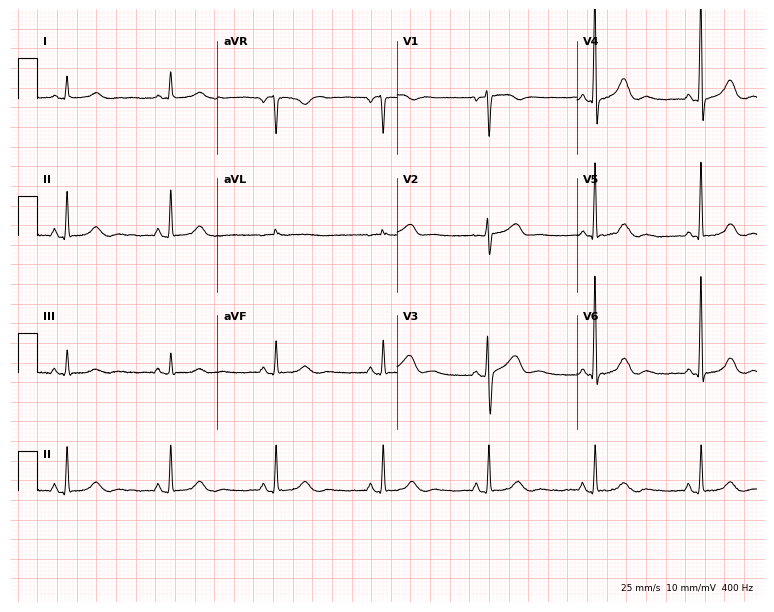
Standard 12-lead ECG recorded from a 55-year-old female (7.3-second recording at 400 Hz). Read as a normal ECG.